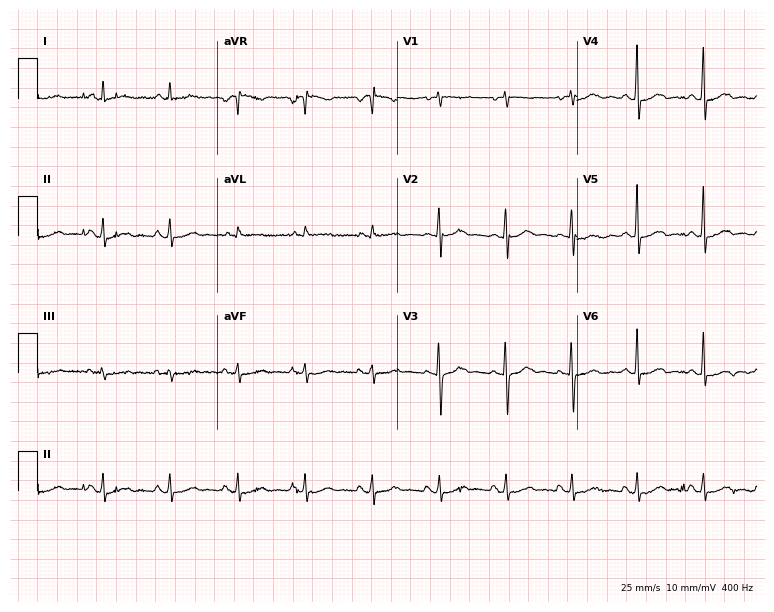
Electrocardiogram (7.3-second recording at 400 Hz), a 65-year-old female patient. Of the six screened findings (first-degree AV block, right bundle branch block, left bundle branch block, sinus bradycardia, atrial fibrillation, sinus tachycardia), none is recorded.